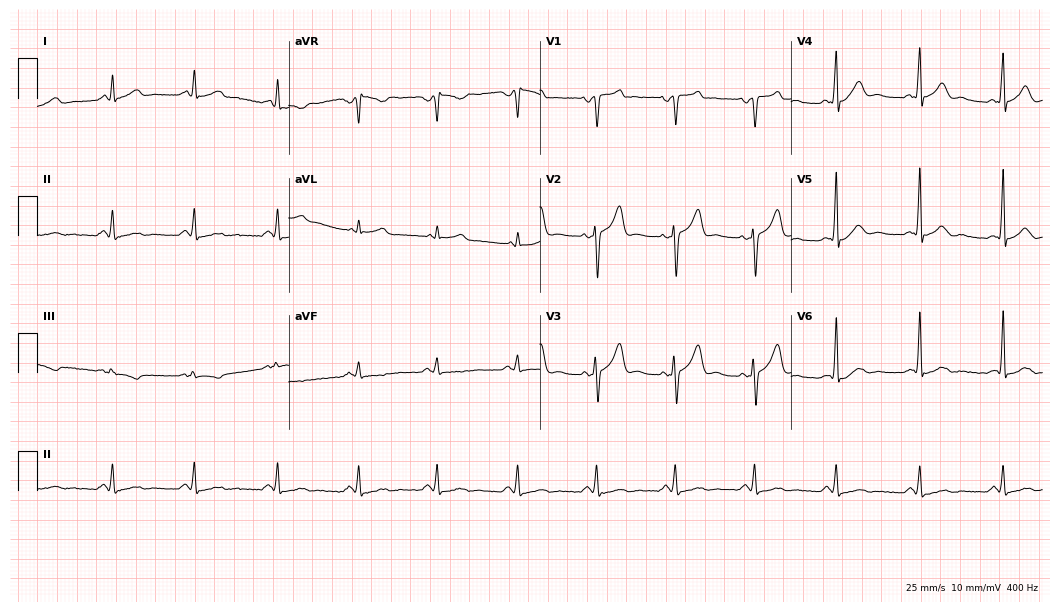
12-lead ECG (10.2-second recording at 400 Hz) from a man, 49 years old. Screened for six findings — first-degree AV block, right bundle branch block, left bundle branch block, sinus bradycardia, atrial fibrillation, sinus tachycardia — none is recorded. Other findings, if any, are not listed.